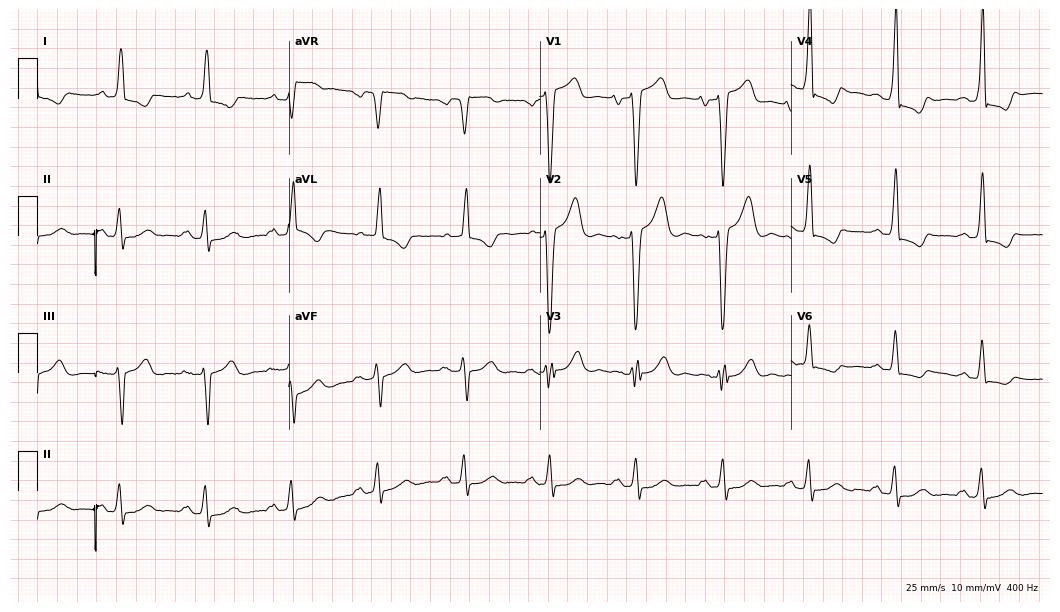
Electrocardiogram (10.2-second recording at 400 Hz), a female patient, 75 years old. Of the six screened findings (first-degree AV block, right bundle branch block (RBBB), left bundle branch block (LBBB), sinus bradycardia, atrial fibrillation (AF), sinus tachycardia), none is recorded.